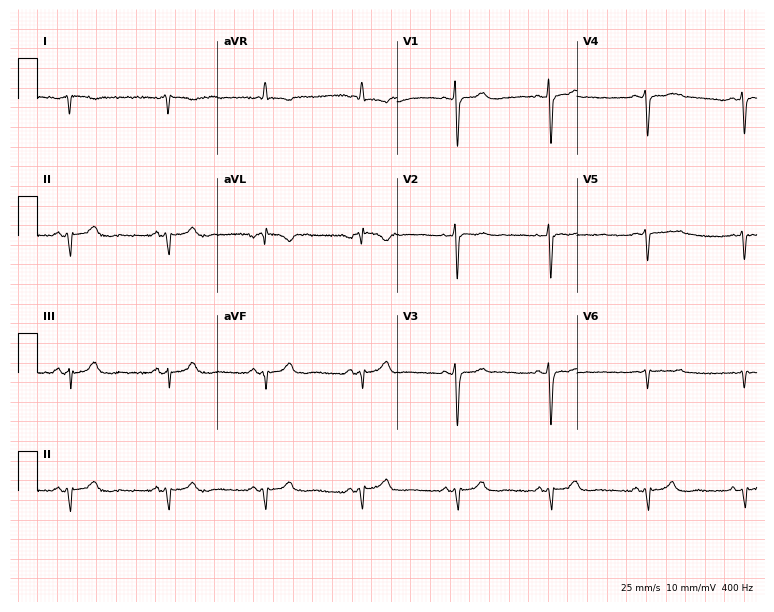
Standard 12-lead ECG recorded from a 61-year-old male patient (7.3-second recording at 400 Hz). None of these six findings is recorded: first-degree AV block, right bundle branch block, left bundle branch block, sinus bradycardia, atrial fibrillation, sinus tachycardia.